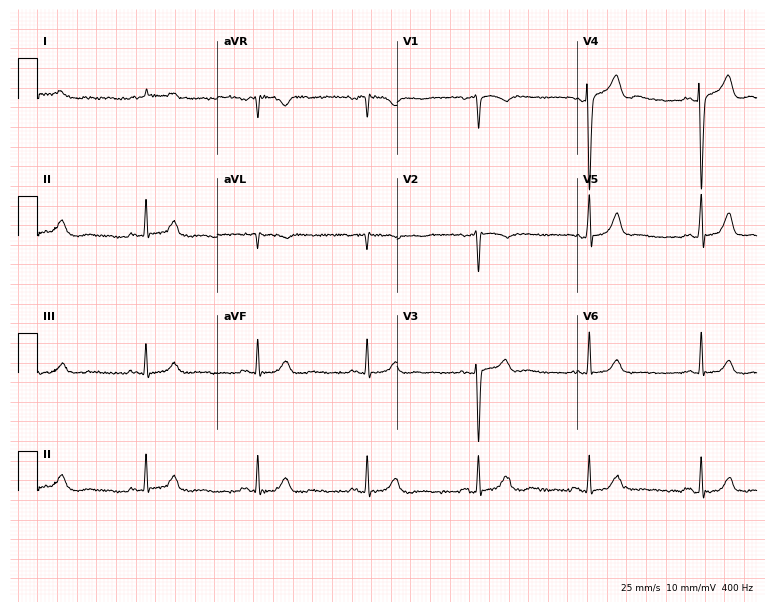
12-lead ECG from a 64-year-old male. Recorded interpretation: within normal limits.